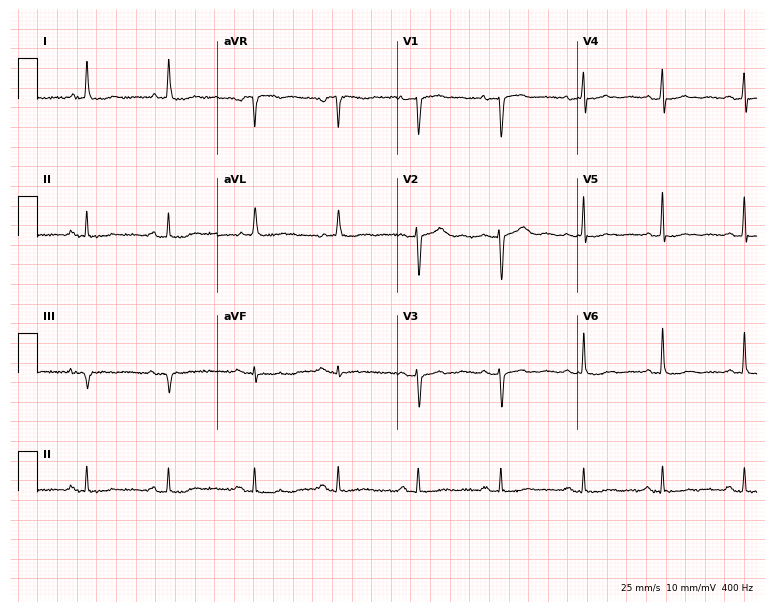
ECG — a 74-year-old woman. Labelled as a normal ECG.